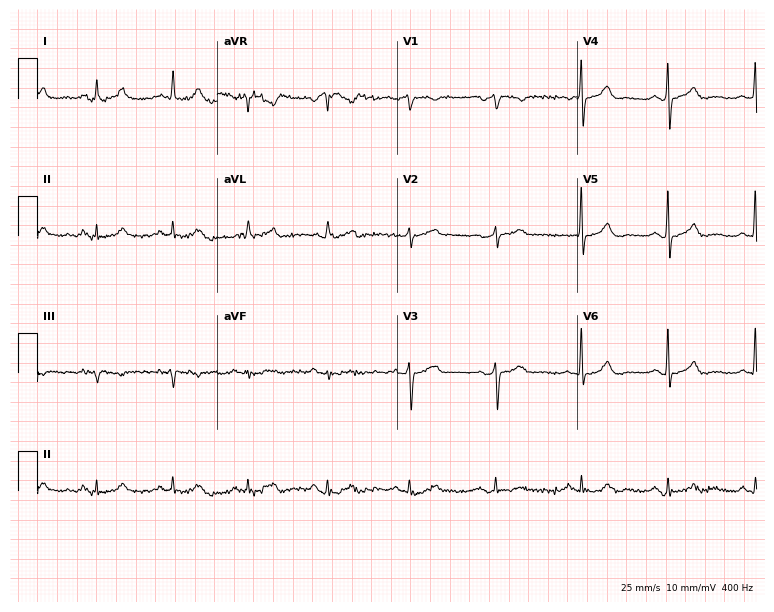
ECG — a 65-year-old female patient. Labelled as a normal ECG.